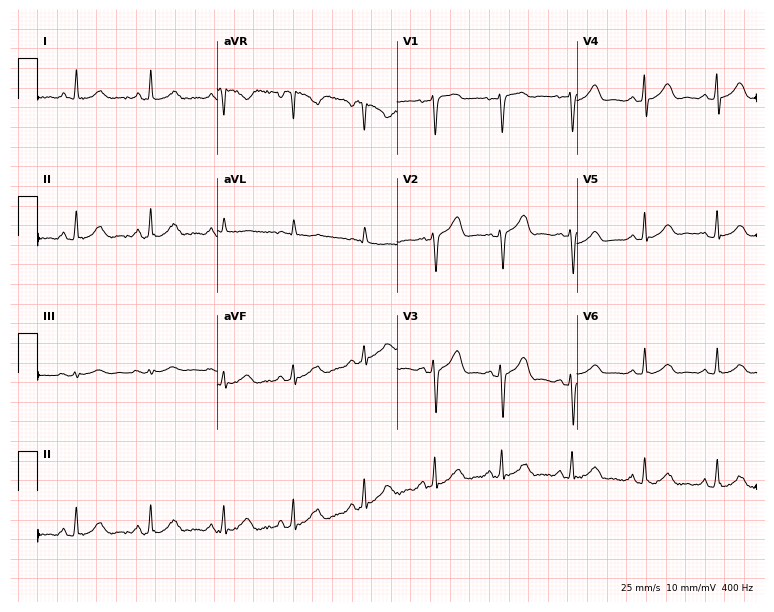
12-lead ECG from a woman, 59 years old. Screened for six findings — first-degree AV block, right bundle branch block, left bundle branch block, sinus bradycardia, atrial fibrillation, sinus tachycardia — none is recorded.